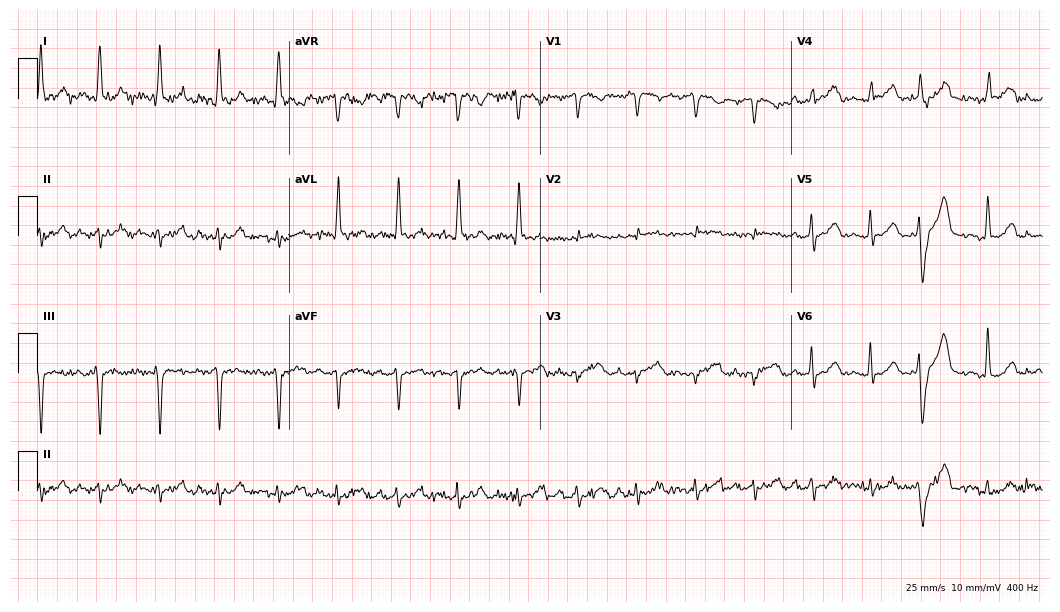
12-lead ECG (10.2-second recording at 400 Hz) from a 79-year-old female. Screened for six findings — first-degree AV block, right bundle branch block, left bundle branch block, sinus bradycardia, atrial fibrillation, sinus tachycardia — none is recorded.